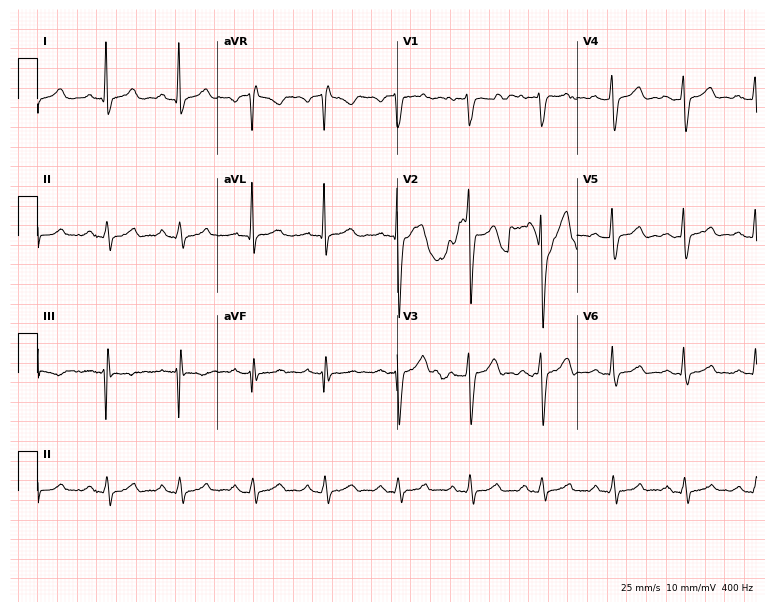
ECG — a male, 44 years old. Labelled as a normal ECG.